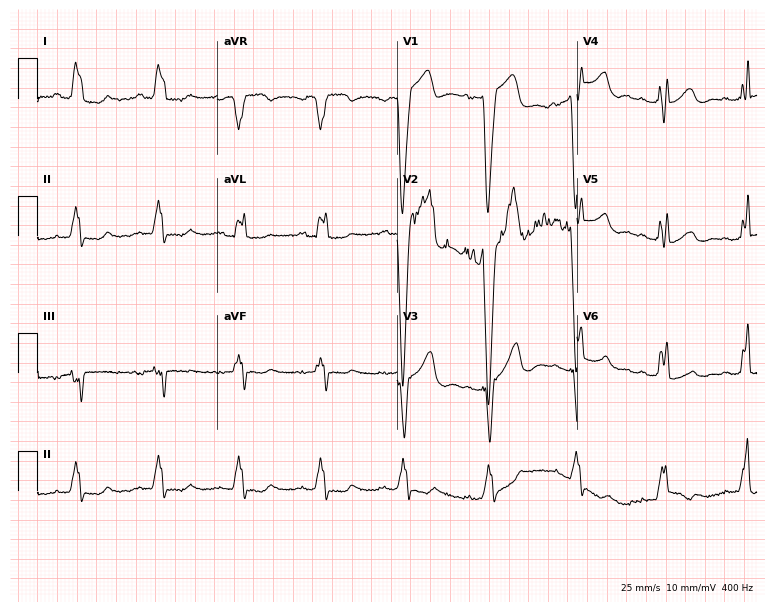
Electrocardiogram (7.3-second recording at 400 Hz), a woman, 67 years old. Interpretation includes left bundle branch block.